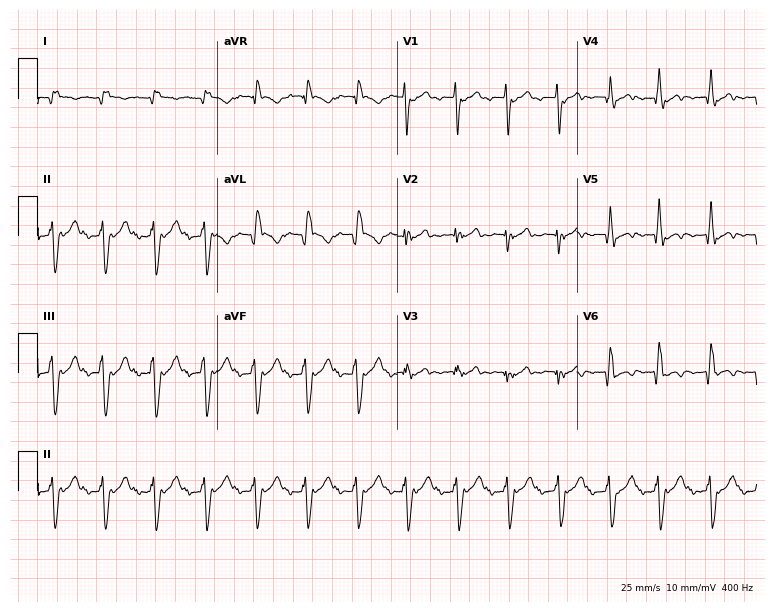
Standard 12-lead ECG recorded from an 85-year-old male patient (7.3-second recording at 400 Hz). The tracing shows sinus tachycardia (a sinus rate of 100 beats per minute or more).